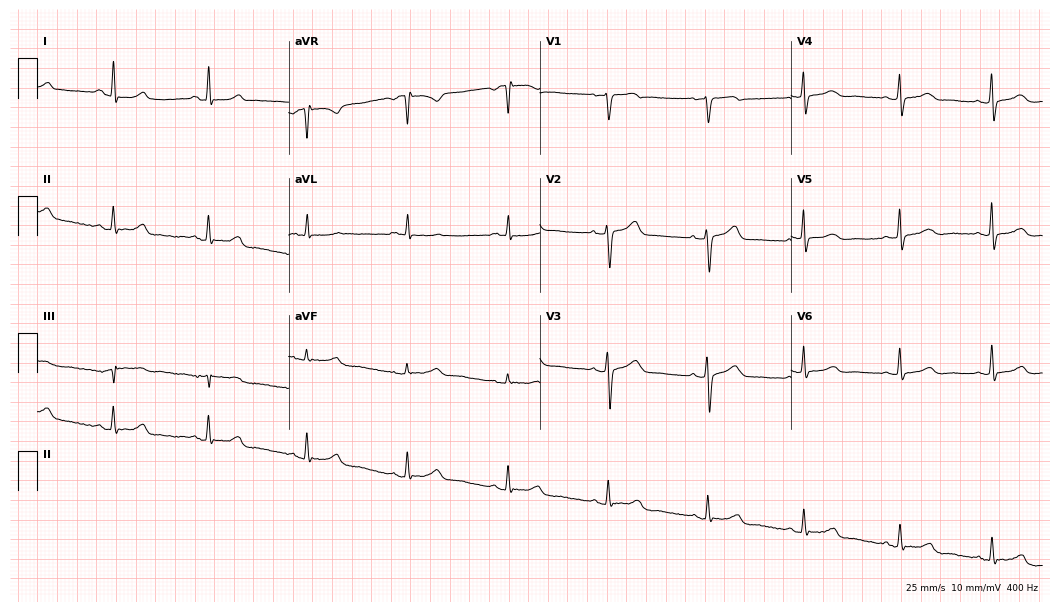
ECG (10.2-second recording at 400 Hz) — a 50-year-old female. Labelled as a normal ECG.